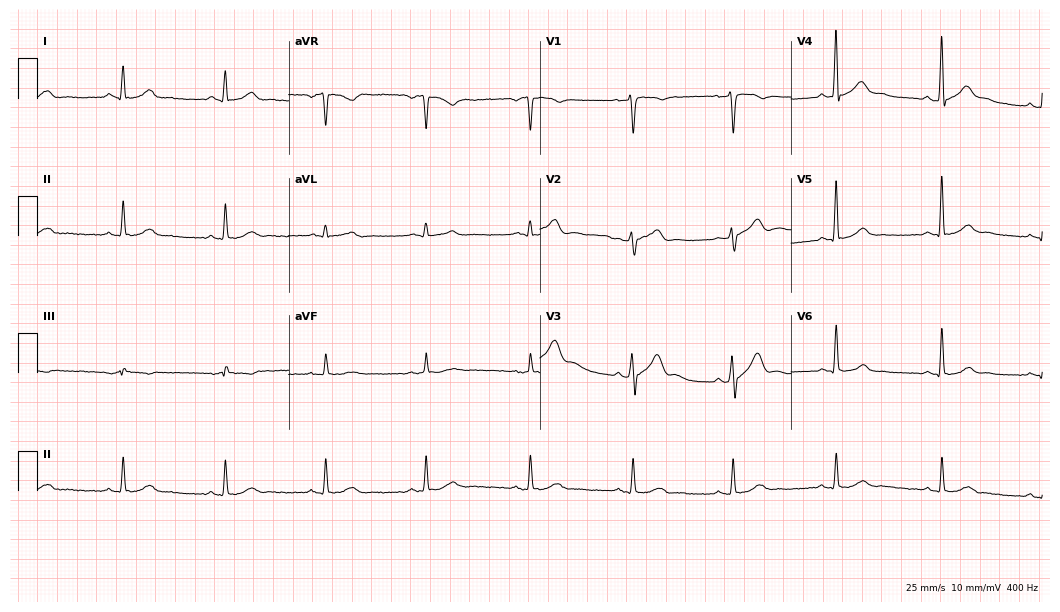
Standard 12-lead ECG recorded from a male patient, 44 years old (10.2-second recording at 400 Hz). Read as a normal ECG.